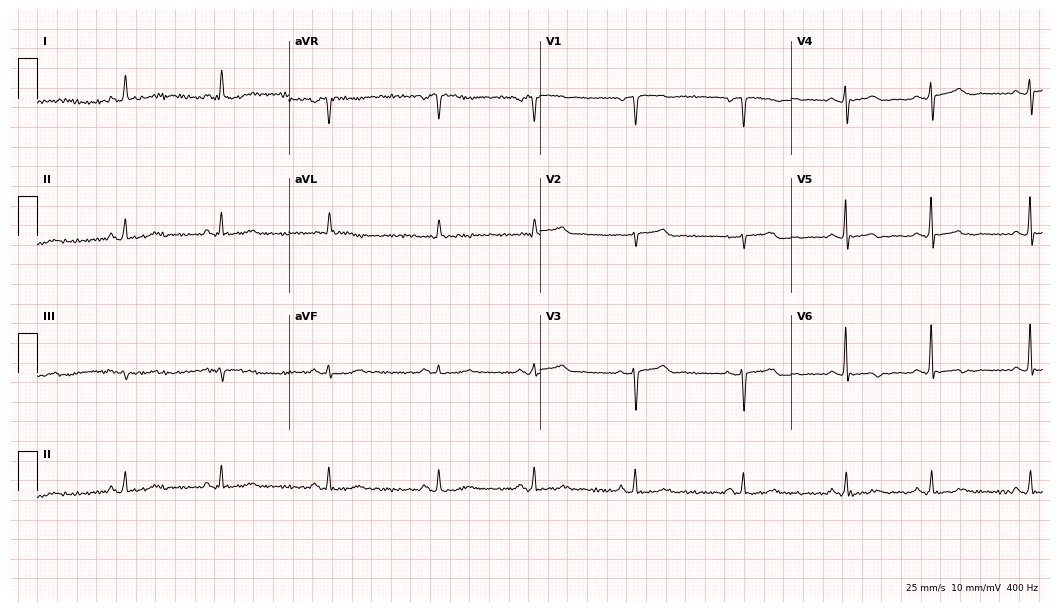
Standard 12-lead ECG recorded from a 73-year-old woman. None of these six findings is recorded: first-degree AV block, right bundle branch block, left bundle branch block, sinus bradycardia, atrial fibrillation, sinus tachycardia.